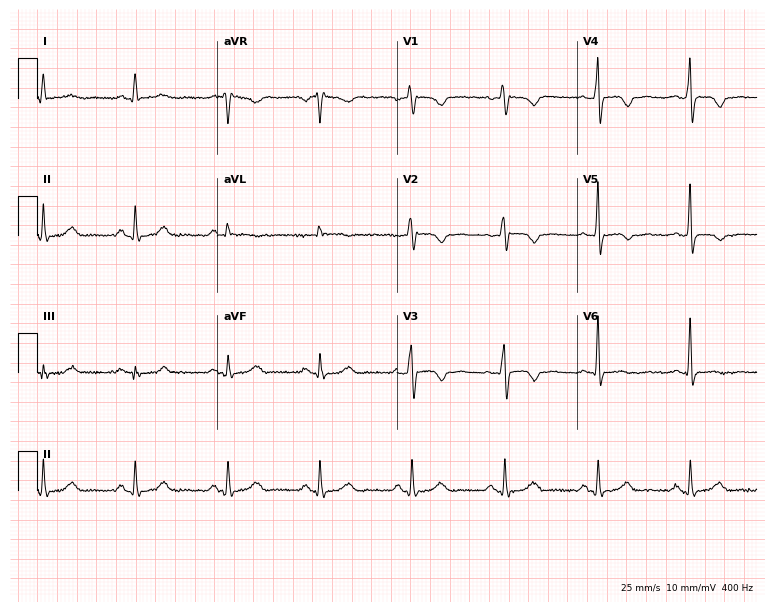
Electrocardiogram (7.3-second recording at 400 Hz), a 51-year-old female. Of the six screened findings (first-degree AV block, right bundle branch block (RBBB), left bundle branch block (LBBB), sinus bradycardia, atrial fibrillation (AF), sinus tachycardia), none is recorded. Only these six findings were labelled.